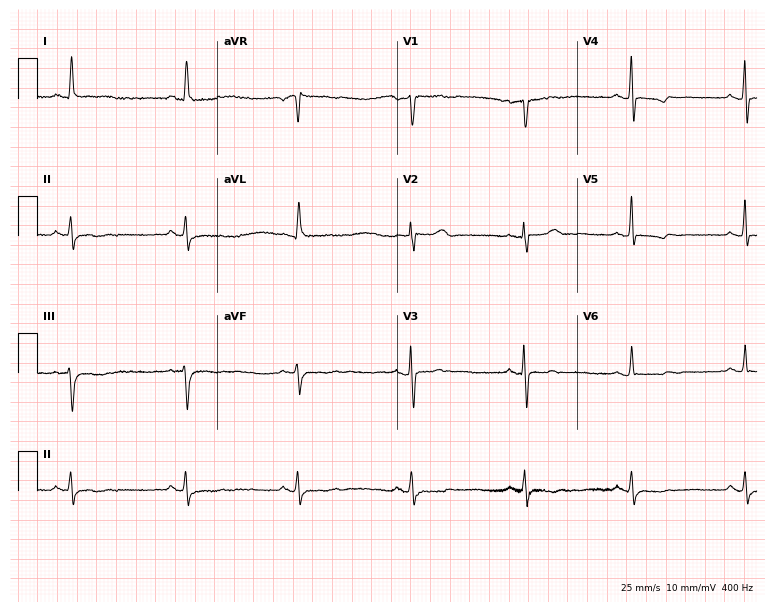
Electrocardiogram, a woman, 78 years old. Of the six screened findings (first-degree AV block, right bundle branch block, left bundle branch block, sinus bradycardia, atrial fibrillation, sinus tachycardia), none is recorded.